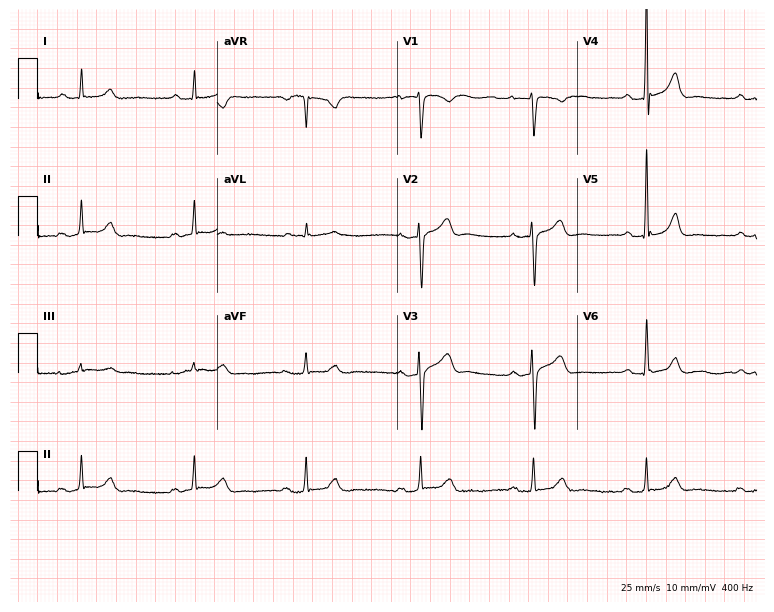
Standard 12-lead ECG recorded from a 54-year-old male patient (7.3-second recording at 400 Hz). Read as a normal ECG.